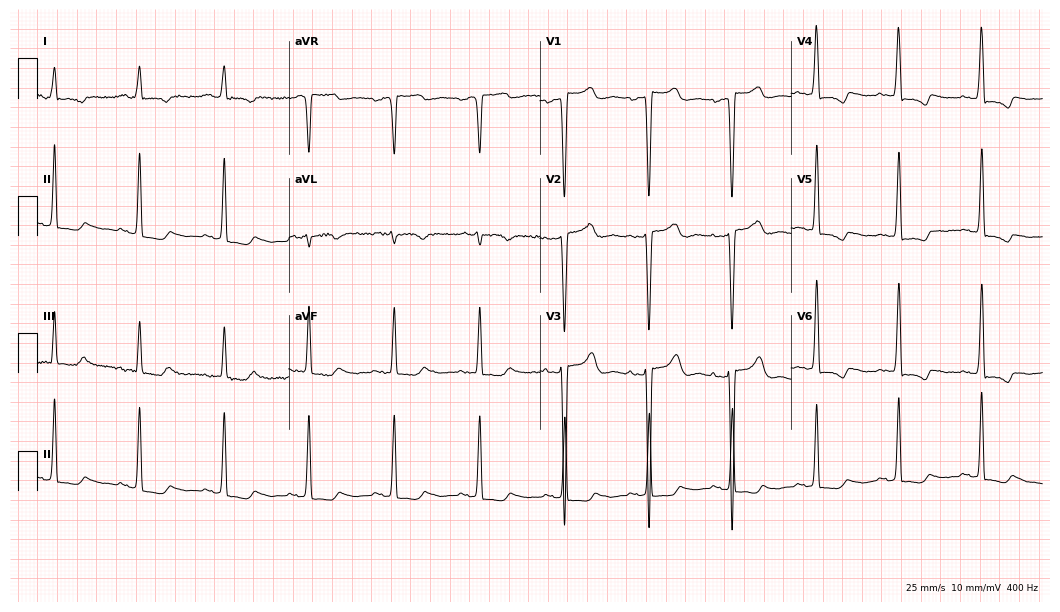
12-lead ECG from a female patient, 82 years old. No first-degree AV block, right bundle branch block (RBBB), left bundle branch block (LBBB), sinus bradycardia, atrial fibrillation (AF) or sinus tachycardia recorded for this tracing. Only these six findings were labelled.